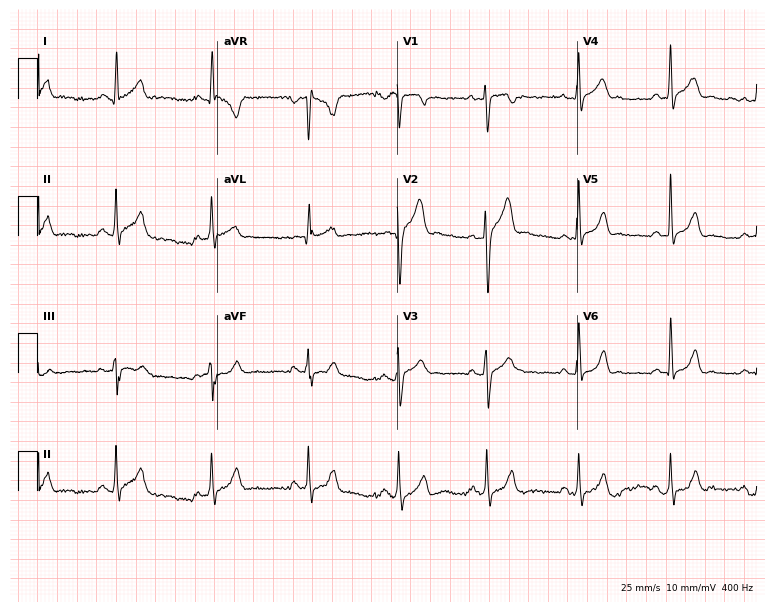
12-lead ECG from a 25-year-old male patient. Labelled as a normal ECG.